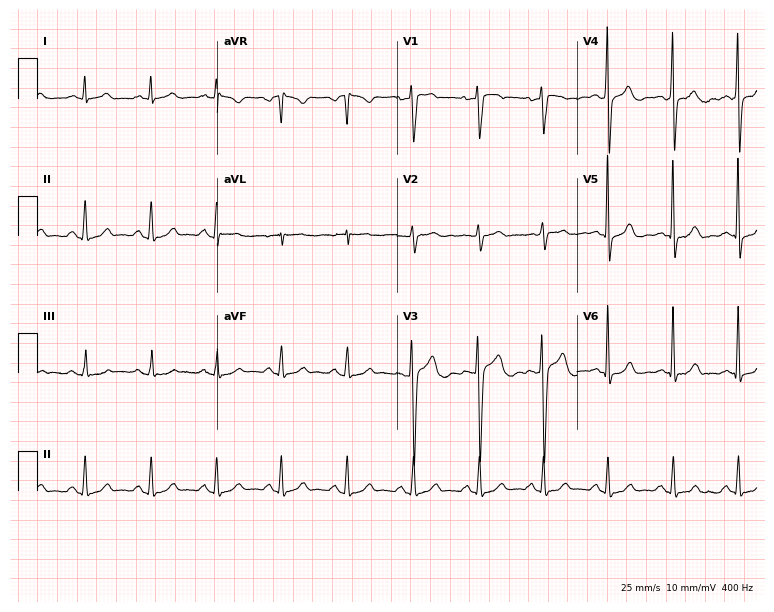
Resting 12-lead electrocardiogram. Patient: a man, 32 years old. Read as a normal ECG.